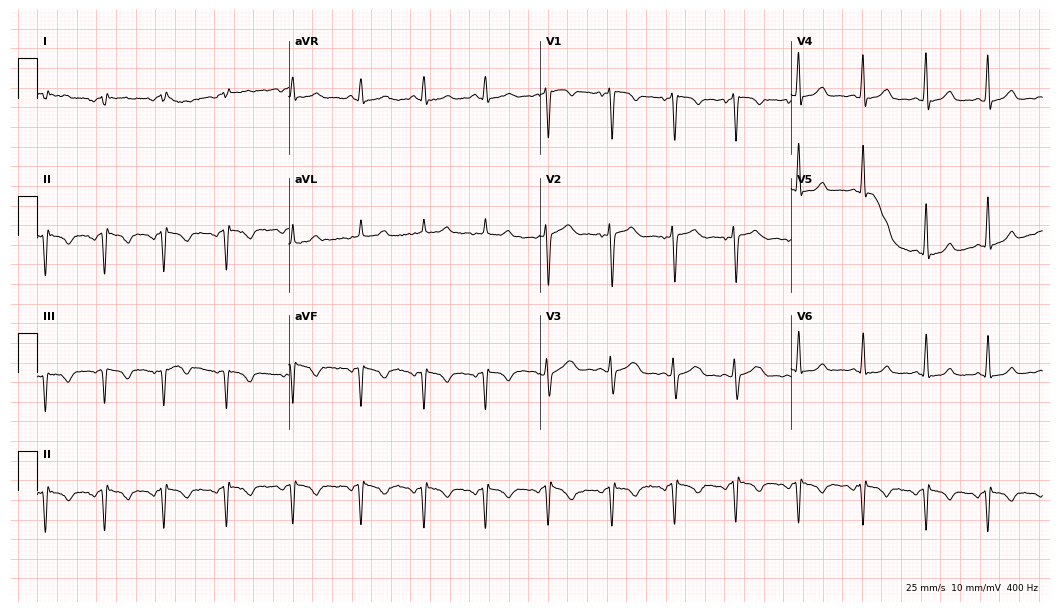
12-lead ECG from a 38-year-old female (10.2-second recording at 400 Hz). No first-degree AV block, right bundle branch block, left bundle branch block, sinus bradycardia, atrial fibrillation or sinus tachycardia recorded for this tracing.